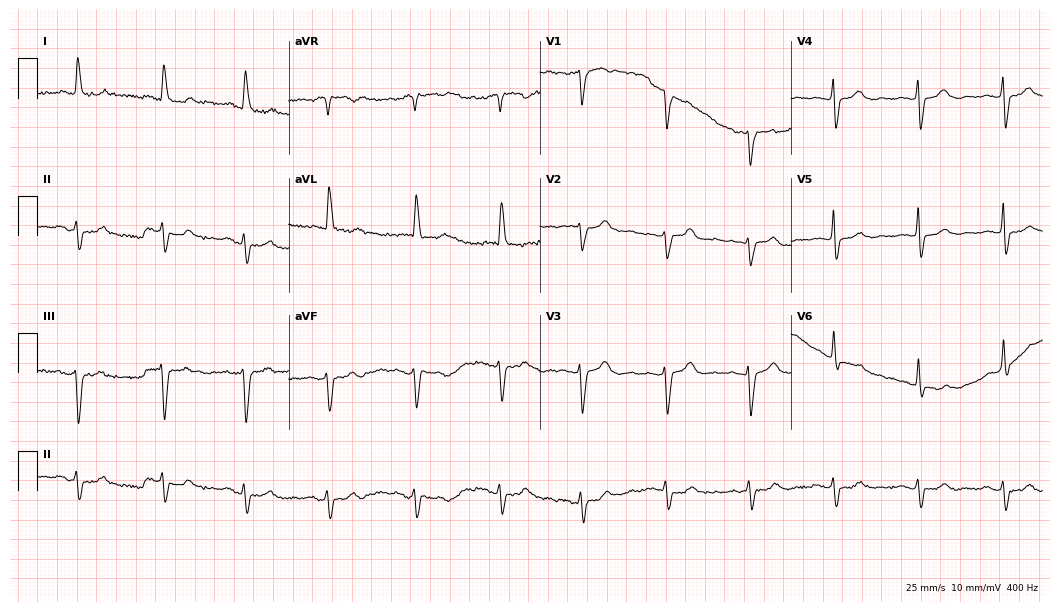
Standard 12-lead ECG recorded from a 77-year-old female. None of these six findings is recorded: first-degree AV block, right bundle branch block, left bundle branch block, sinus bradycardia, atrial fibrillation, sinus tachycardia. Other findings, if any, are not listed.